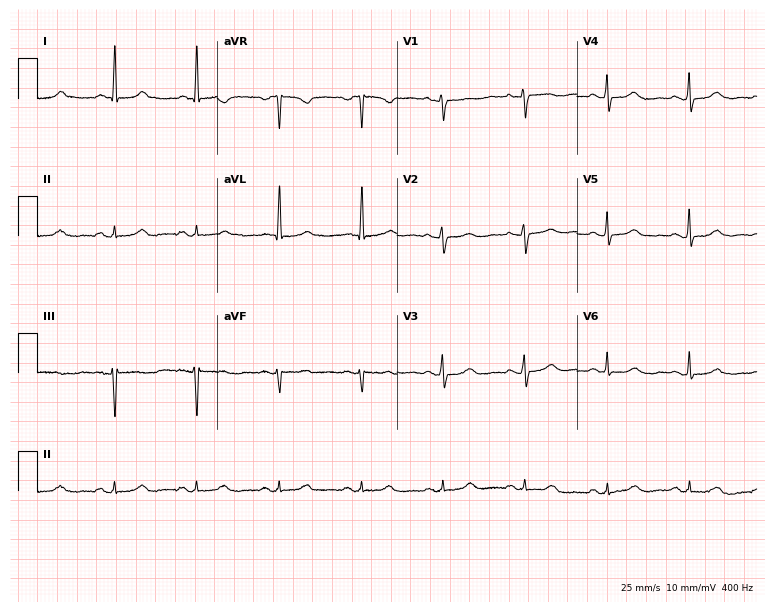
12-lead ECG from a woman, 76 years old. Screened for six findings — first-degree AV block, right bundle branch block, left bundle branch block, sinus bradycardia, atrial fibrillation, sinus tachycardia — none is recorded. Only these six findings were labelled.